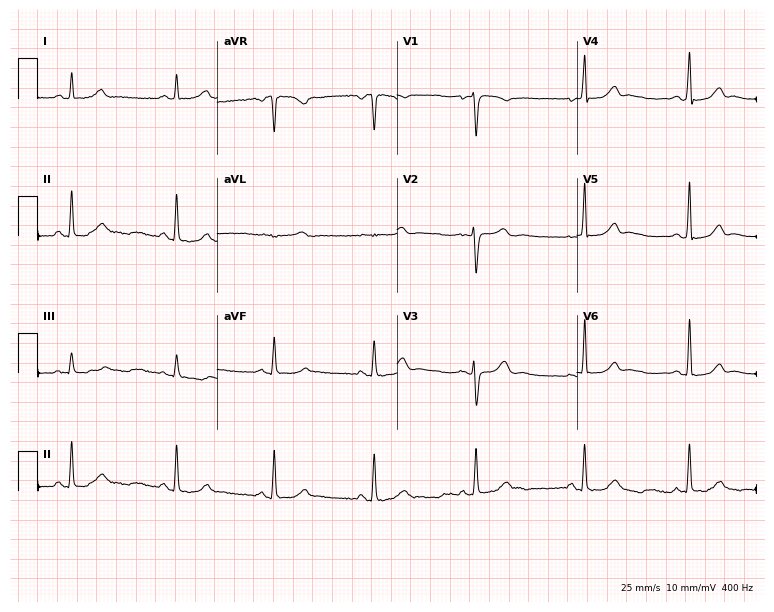
Standard 12-lead ECG recorded from a 32-year-old woman. None of these six findings is recorded: first-degree AV block, right bundle branch block (RBBB), left bundle branch block (LBBB), sinus bradycardia, atrial fibrillation (AF), sinus tachycardia. Only these six findings were labelled.